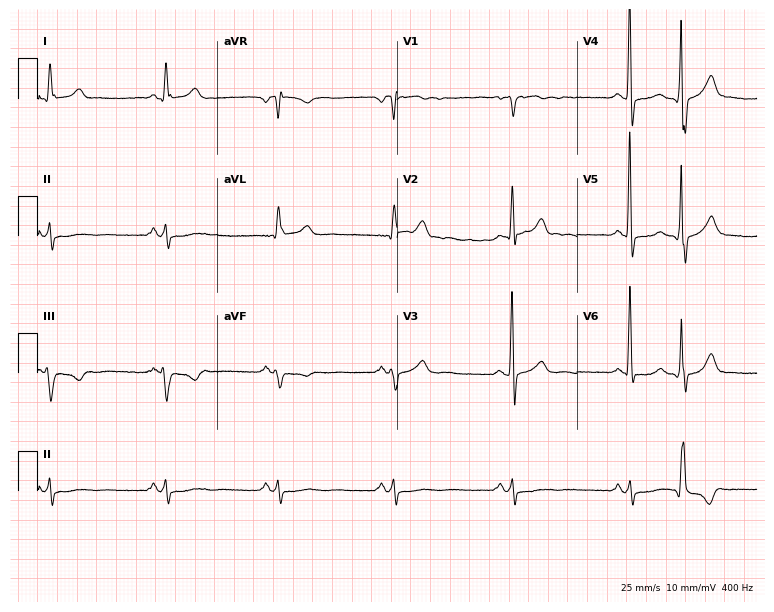
12-lead ECG from a 53-year-old woman (7.3-second recording at 400 Hz). No first-degree AV block, right bundle branch block, left bundle branch block, sinus bradycardia, atrial fibrillation or sinus tachycardia recorded for this tracing. Other findings, if any, are not listed.